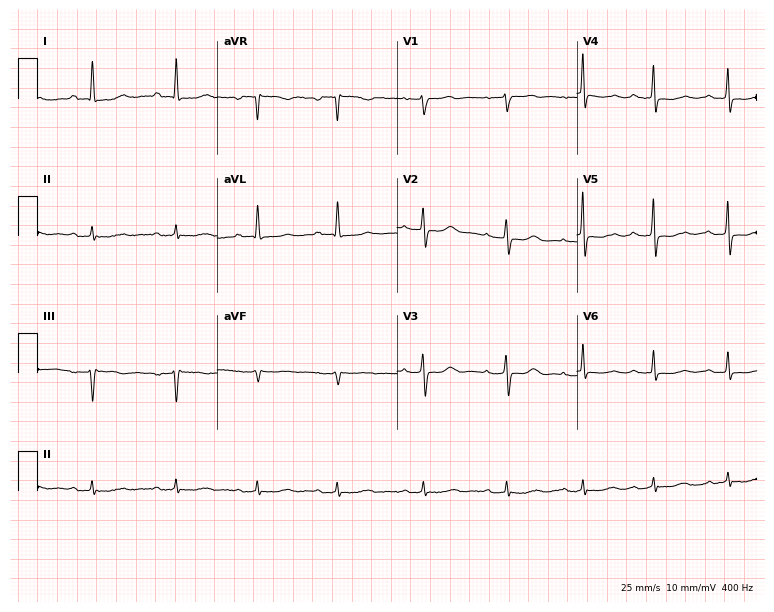
Resting 12-lead electrocardiogram (7.3-second recording at 400 Hz). Patient: a female, 75 years old. None of these six findings is recorded: first-degree AV block, right bundle branch block, left bundle branch block, sinus bradycardia, atrial fibrillation, sinus tachycardia. Findings outside these six are not listed.